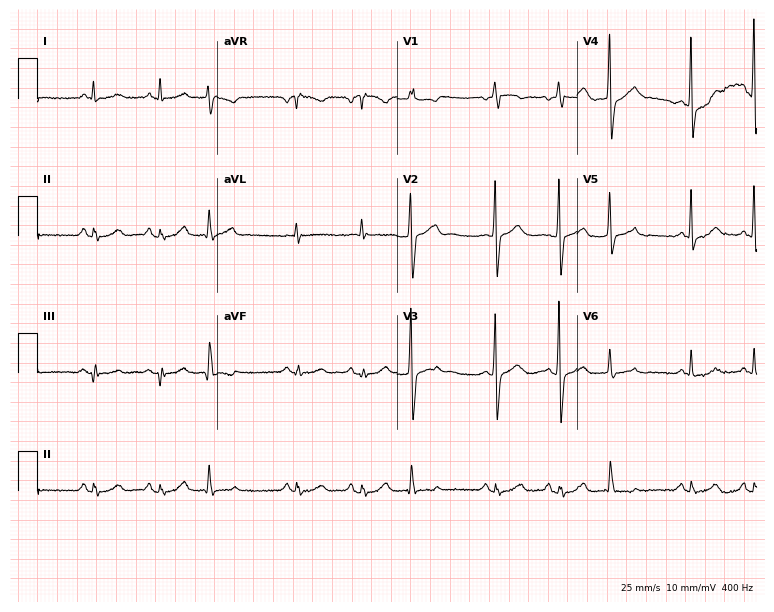
Electrocardiogram (7.3-second recording at 400 Hz), a woman, 63 years old. Of the six screened findings (first-degree AV block, right bundle branch block, left bundle branch block, sinus bradycardia, atrial fibrillation, sinus tachycardia), none is recorded. Only these six findings were labelled.